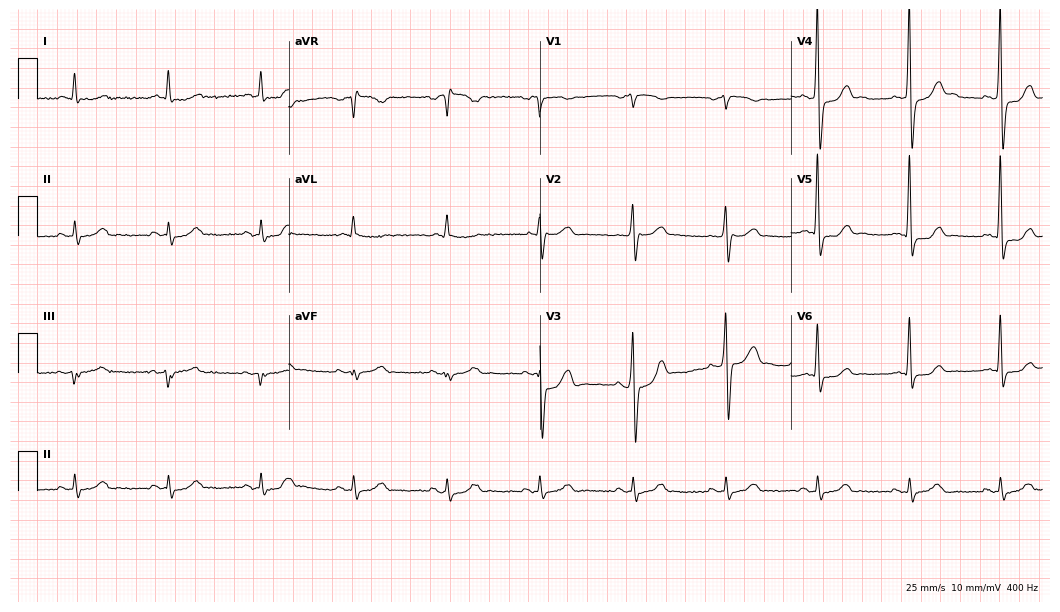
Standard 12-lead ECG recorded from a male patient, 72 years old. None of these six findings is recorded: first-degree AV block, right bundle branch block, left bundle branch block, sinus bradycardia, atrial fibrillation, sinus tachycardia.